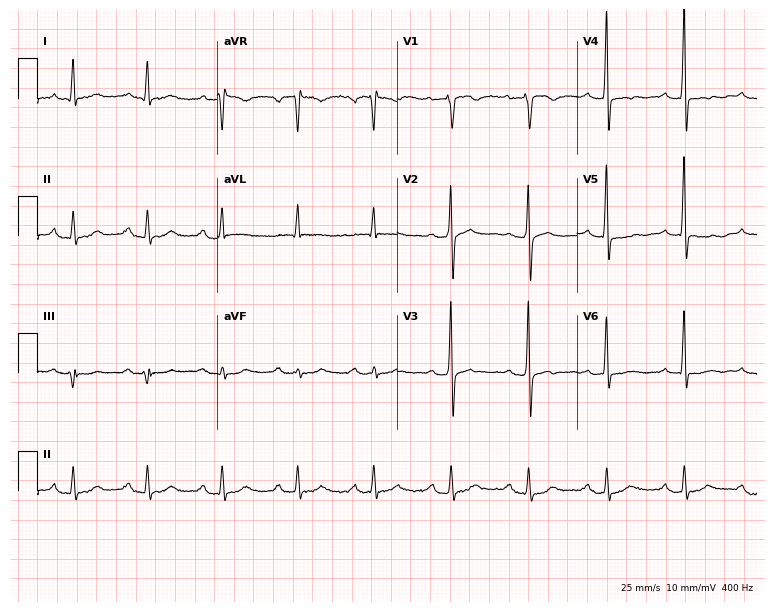
Resting 12-lead electrocardiogram (7.3-second recording at 400 Hz). Patient: a 65-year-old male. The tracing shows first-degree AV block.